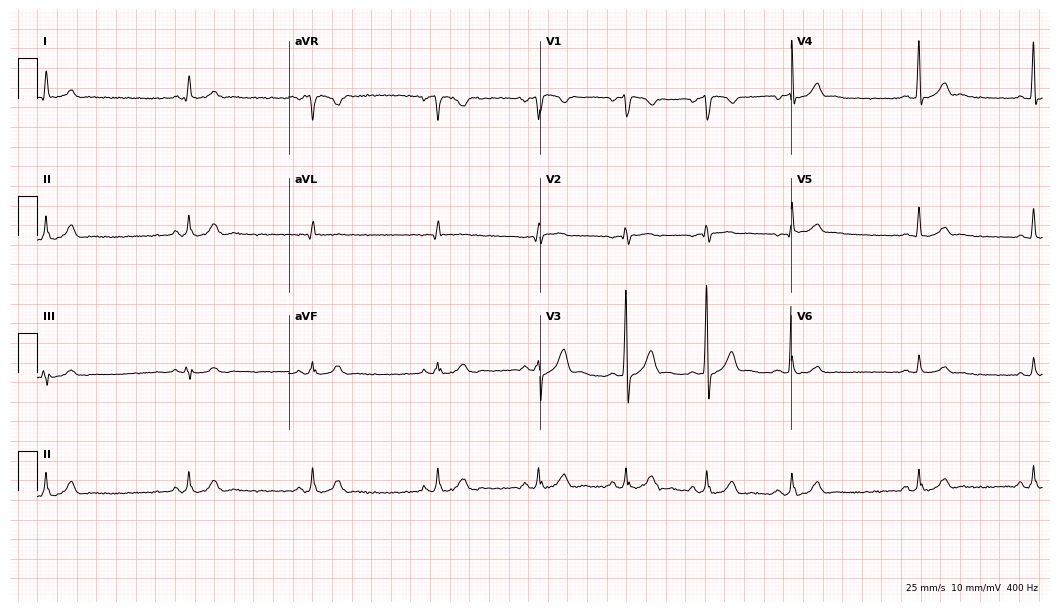
Electrocardiogram (10.2-second recording at 400 Hz), a male, 20 years old. Of the six screened findings (first-degree AV block, right bundle branch block (RBBB), left bundle branch block (LBBB), sinus bradycardia, atrial fibrillation (AF), sinus tachycardia), none is recorded.